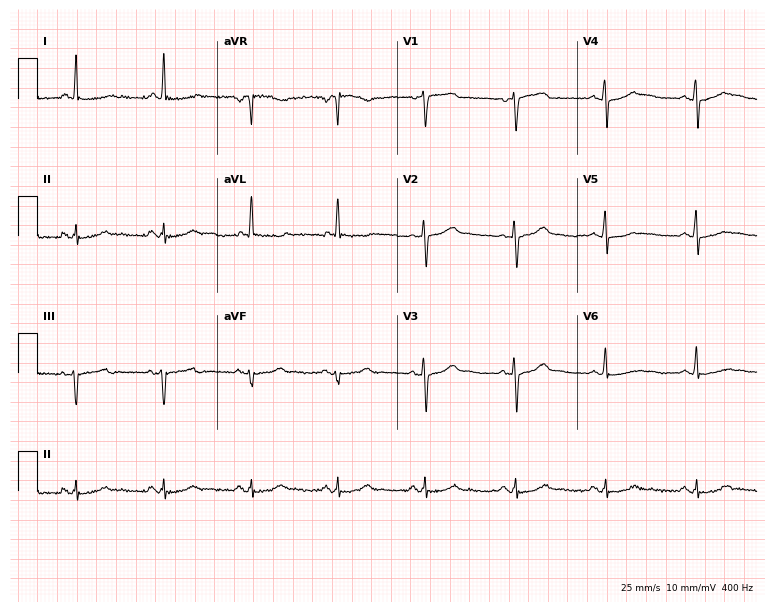
12-lead ECG from a woman, 63 years old. No first-degree AV block, right bundle branch block, left bundle branch block, sinus bradycardia, atrial fibrillation or sinus tachycardia recorded for this tracing. Findings outside these six are not listed.